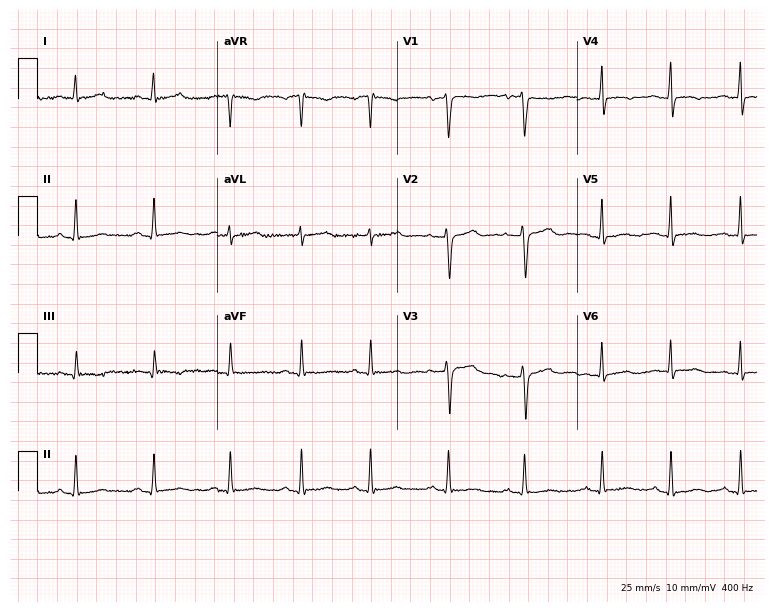
Resting 12-lead electrocardiogram (7.3-second recording at 400 Hz). Patient: a woman, 42 years old. None of these six findings is recorded: first-degree AV block, right bundle branch block (RBBB), left bundle branch block (LBBB), sinus bradycardia, atrial fibrillation (AF), sinus tachycardia. Only these six findings were labelled.